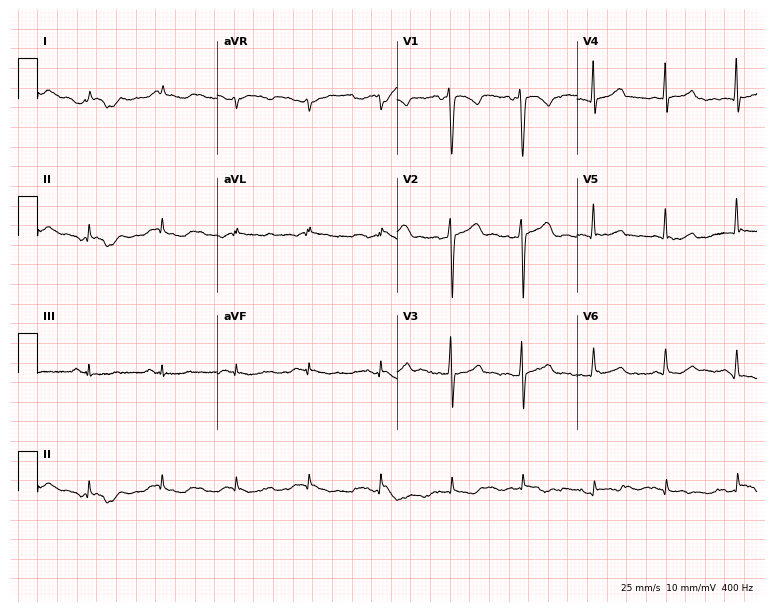
12-lead ECG from a female, 39 years old. Screened for six findings — first-degree AV block, right bundle branch block, left bundle branch block, sinus bradycardia, atrial fibrillation, sinus tachycardia — none is recorded.